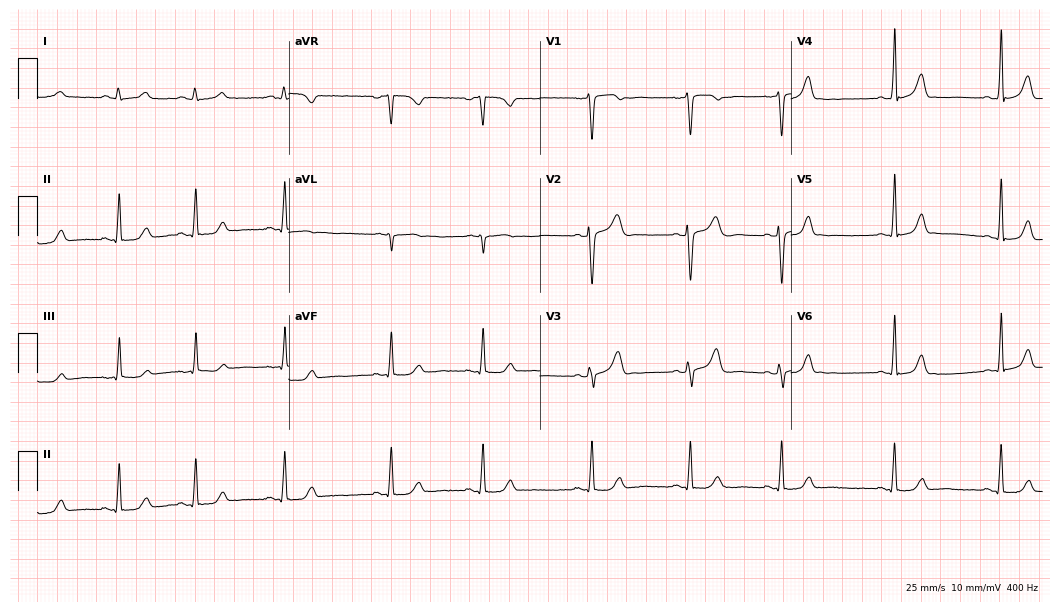
Standard 12-lead ECG recorded from a 22-year-old female (10.2-second recording at 400 Hz). None of these six findings is recorded: first-degree AV block, right bundle branch block, left bundle branch block, sinus bradycardia, atrial fibrillation, sinus tachycardia. Other findings, if any, are not listed.